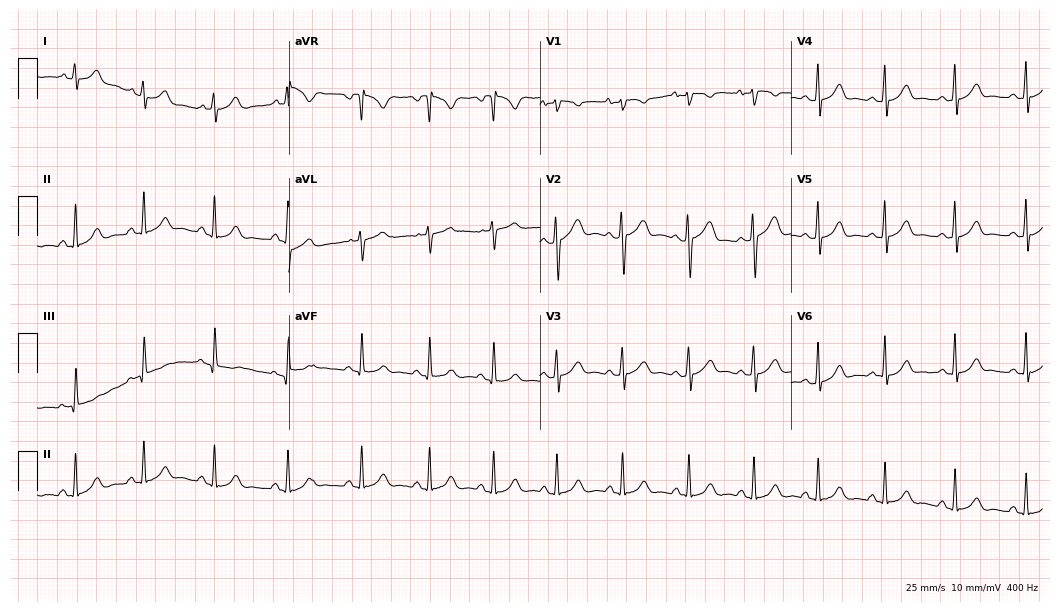
12-lead ECG from a 17-year-old female patient. Labelled as a normal ECG.